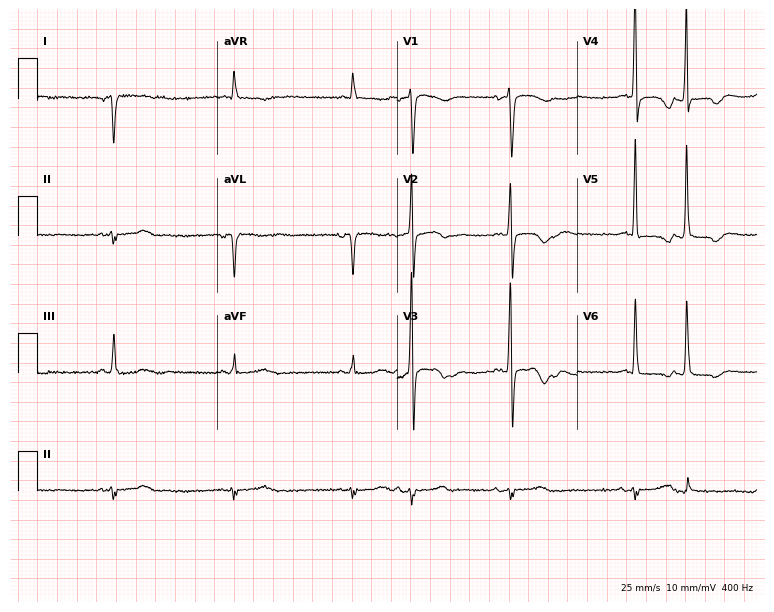
12-lead ECG from a male patient, 66 years old. No first-degree AV block, right bundle branch block, left bundle branch block, sinus bradycardia, atrial fibrillation or sinus tachycardia recorded for this tracing. Only these six findings were labelled.